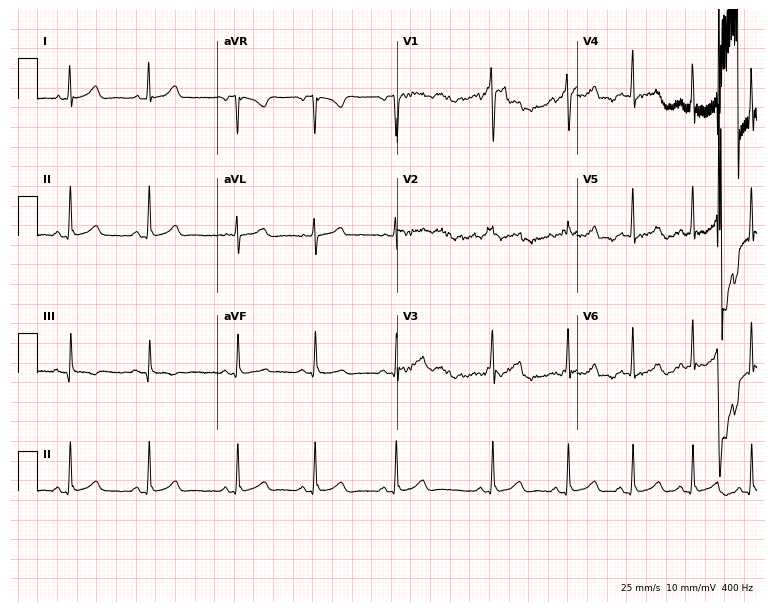
Electrocardiogram (7.3-second recording at 400 Hz), a female, 22 years old. Overall reading on record: normal ECG.